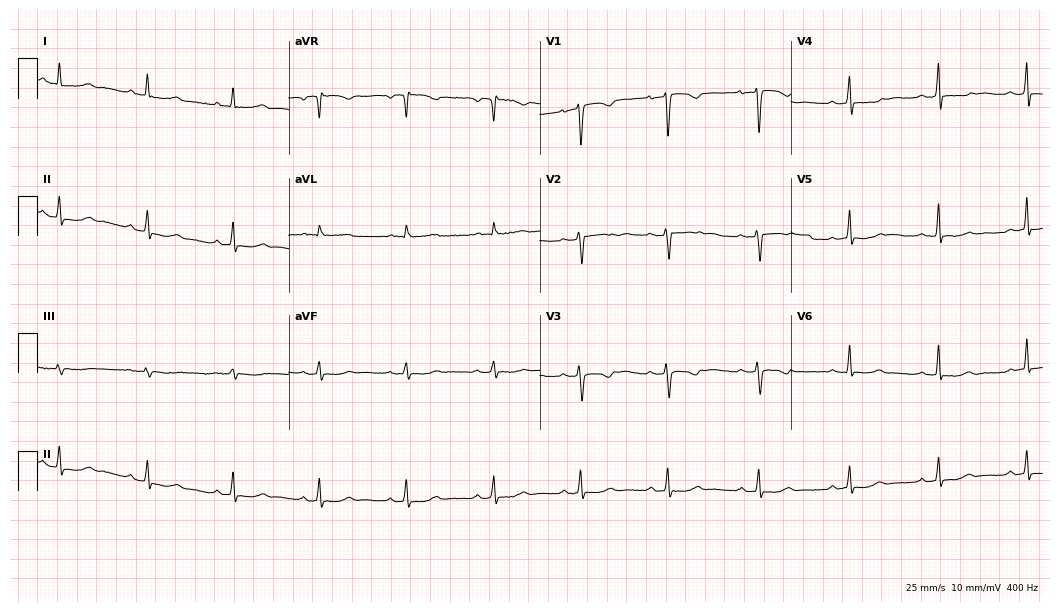
Electrocardiogram (10.2-second recording at 400 Hz), a 49-year-old female patient. Overall reading on record: normal ECG.